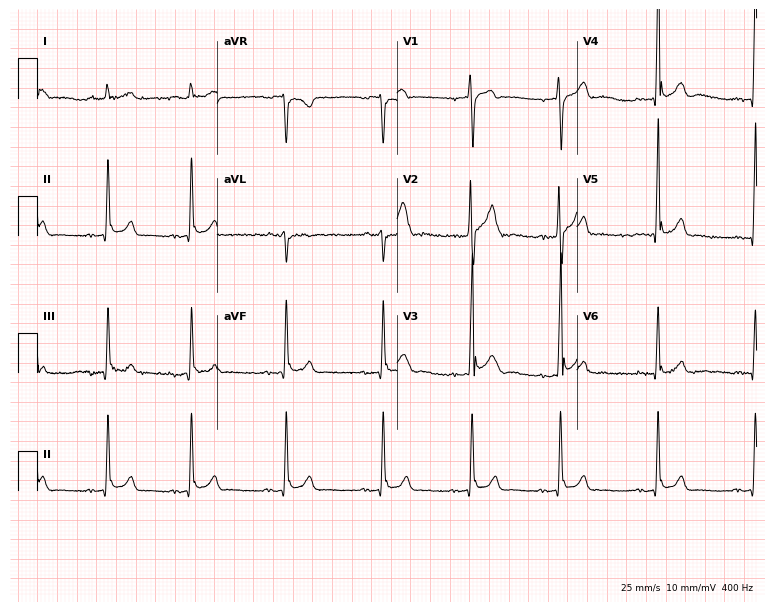
12-lead ECG from a 24-year-old man. No first-degree AV block, right bundle branch block (RBBB), left bundle branch block (LBBB), sinus bradycardia, atrial fibrillation (AF) or sinus tachycardia recorded for this tracing.